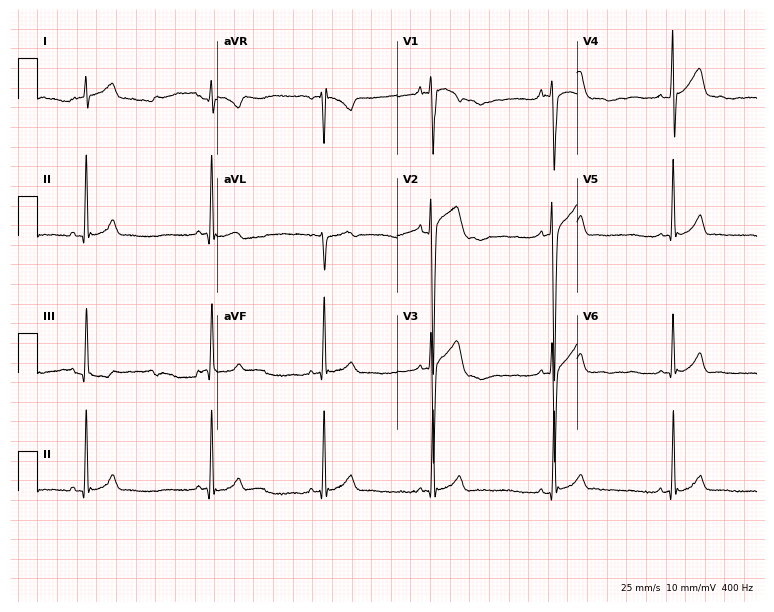
12-lead ECG from a male patient, 18 years old. Recorded interpretation: within normal limits.